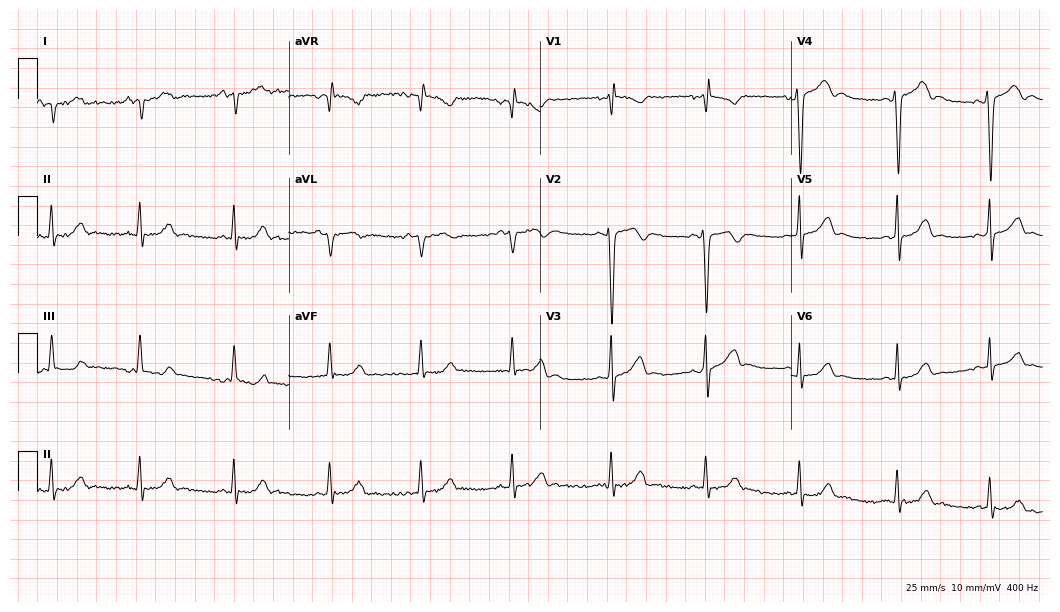
12-lead ECG from an 18-year-old male patient (10.2-second recording at 400 Hz). No first-degree AV block, right bundle branch block, left bundle branch block, sinus bradycardia, atrial fibrillation or sinus tachycardia recorded for this tracing.